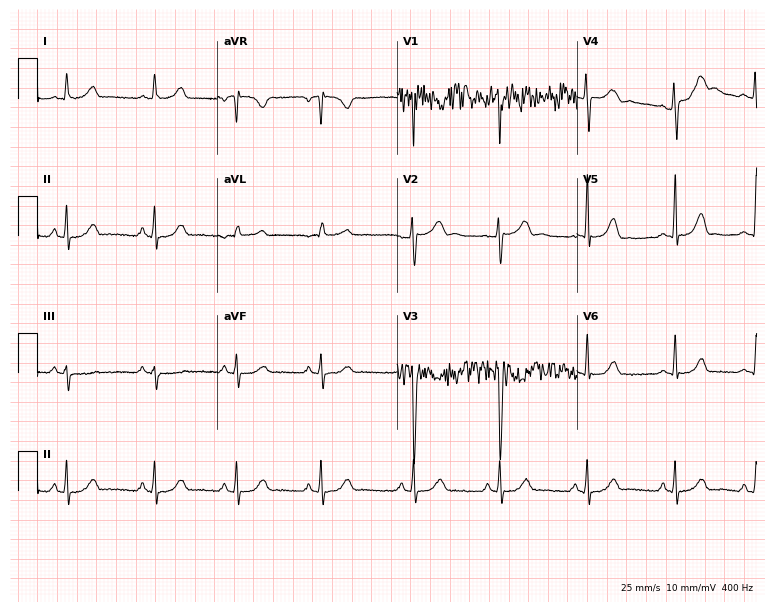
Electrocardiogram, a 28-year-old female patient. Overall reading on record: normal ECG.